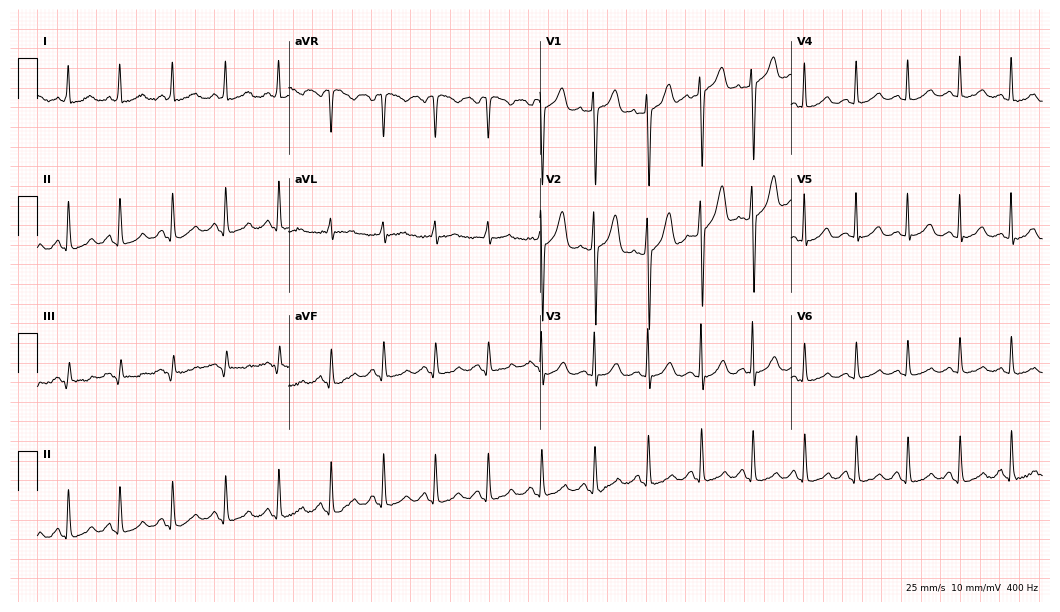
Electrocardiogram, a female patient, 59 years old. Interpretation includes sinus tachycardia (a sinus rate of 100 beats per minute or more).